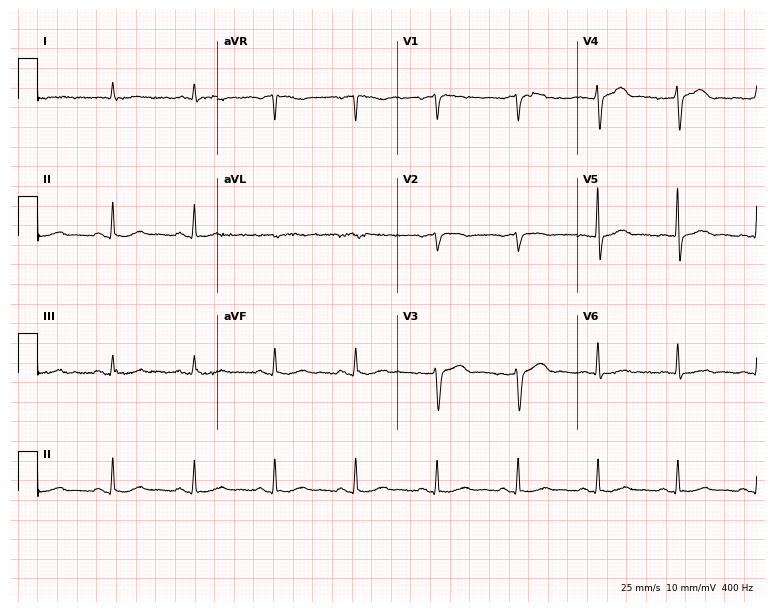
Resting 12-lead electrocardiogram. Patient: a 79-year-old man. None of these six findings is recorded: first-degree AV block, right bundle branch block, left bundle branch block, sinus bradycardia, atrial fibrillation, sinus tachycardia. Findings outside these six are not listed.